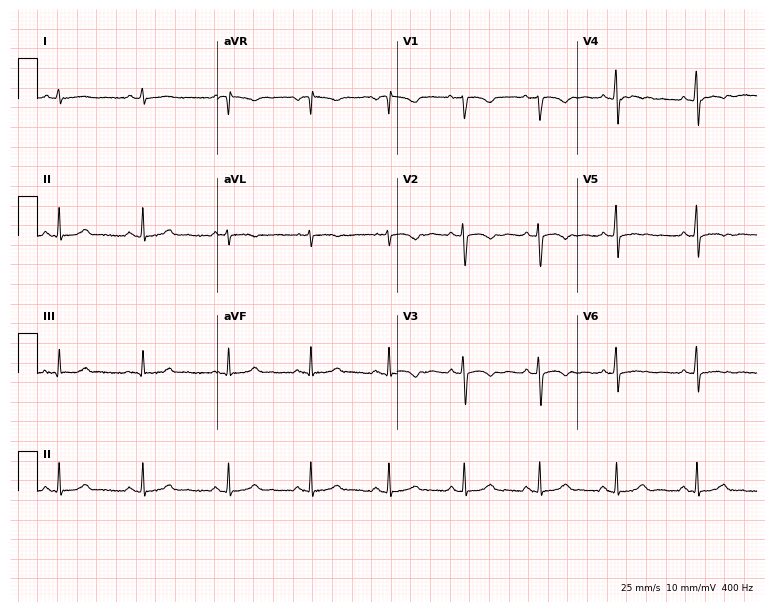
12-lead ECG from a female, 30 years old. No first-degree AV block, right bundle branch block, left bundle branch block, sinus bradycardia, atrial fibrillation or sinus tachycardia recorded for this tracing. Findings outside these six are not listed.